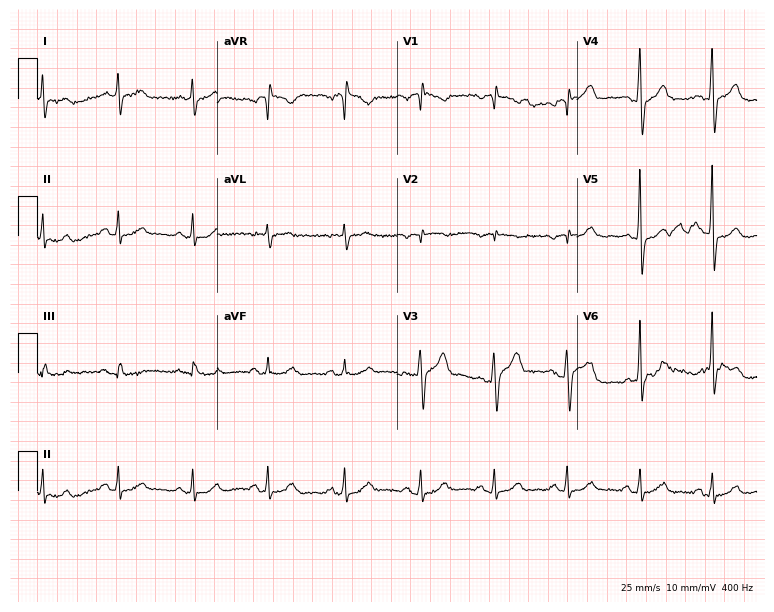
Electrocardiogram, a male, 44 years old. Of the six screened findings (first-degree AV block, right bundle branch block (RBBB), left bundle branch block (LBBB), sinus bradycardia, atrial fibrillation (AF), sinus tachycardia), none is recorded.